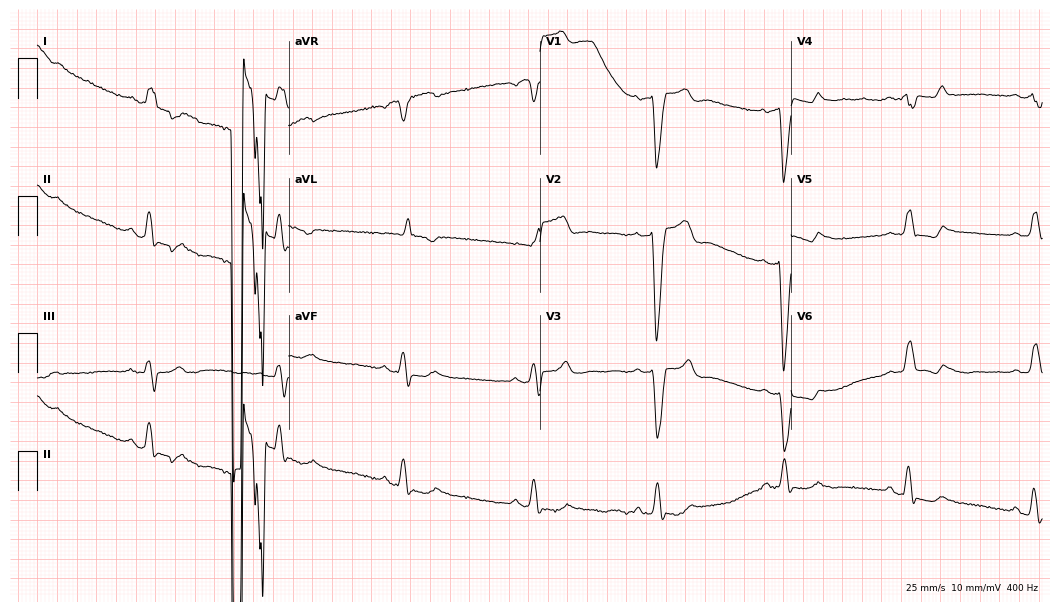
Standard 12-lead ECG recorded from an 81-year-old male (10.2-second recording at 400 Hz). The tracing shows sinus bradycardia (a sinus rate of 50 beats per minute or less).